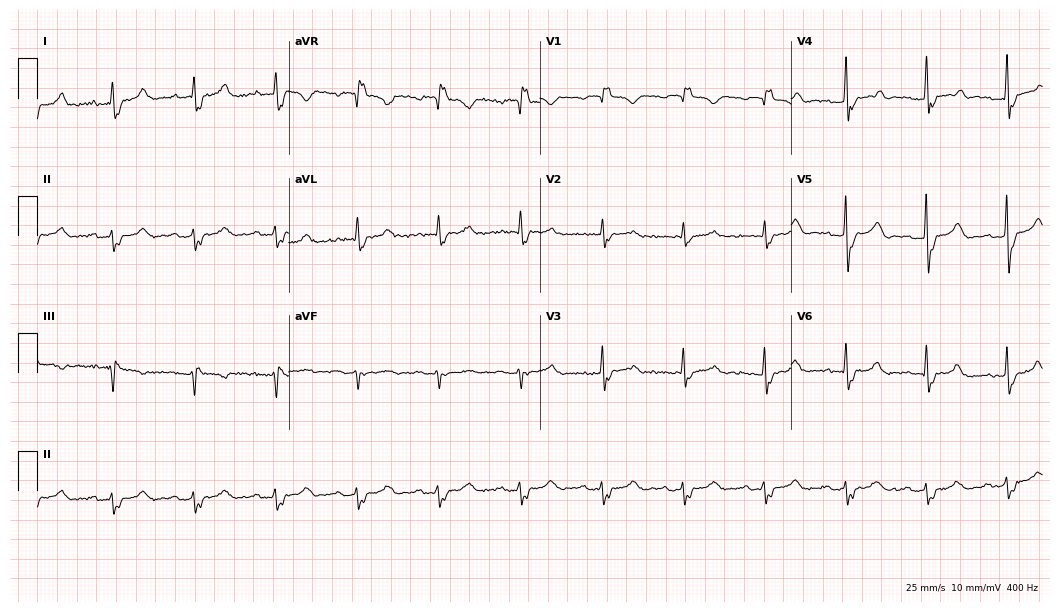
Standard 12-lead ECG recorded from a male, 76 years old (10.2-second recording at 400 Hz). The tracing shows first-degree AV block, right bundle branch block.